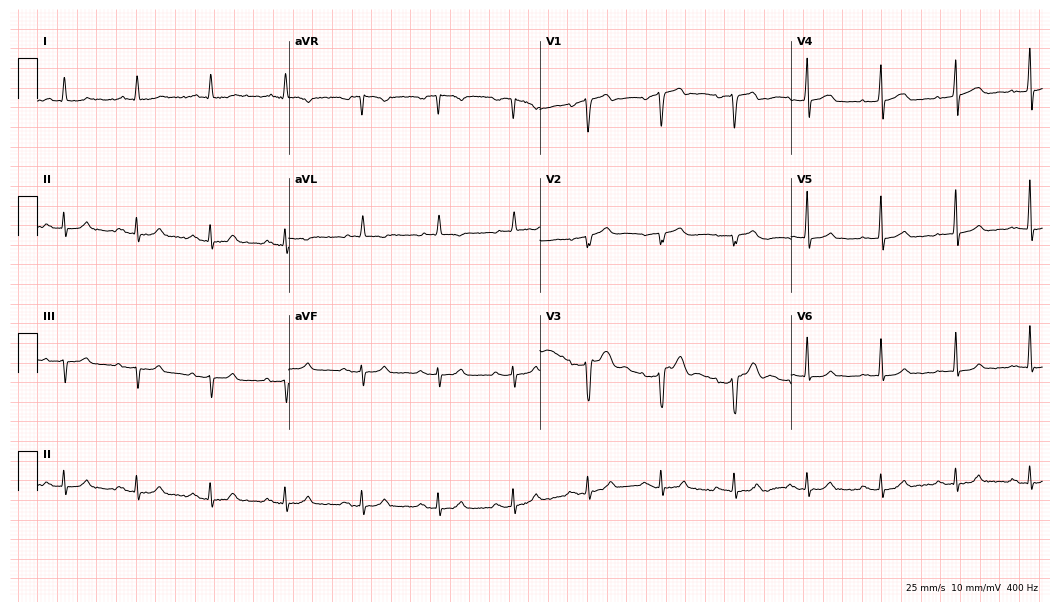
Standard 12-lead ECG recorded from a male, 63 years old (10.2-second recording at 400 Hz). None of these six findings is recorded: first-degree AV block, right bundle branch block, left bundle branch block, sinus bradycardia, atrial fibrillation, sinus tachycardia.